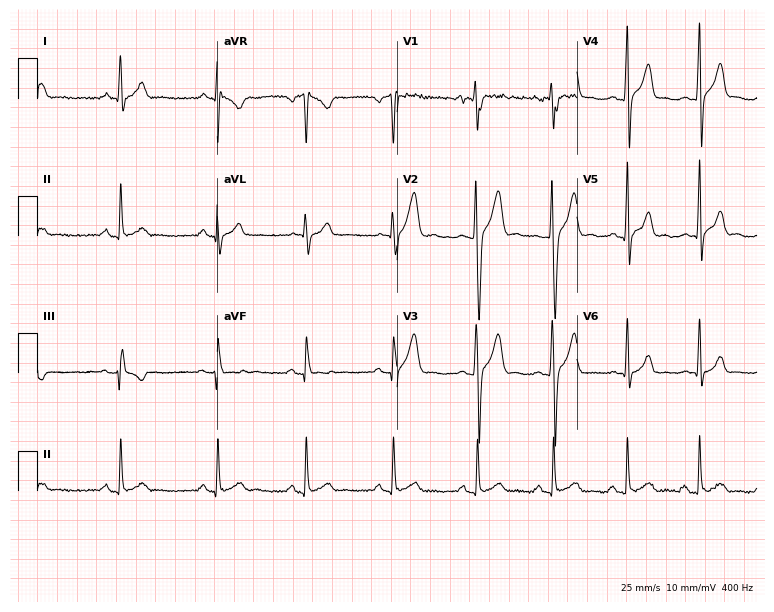
ECG — a 21-year-old male. Labelled as a normal ECG.